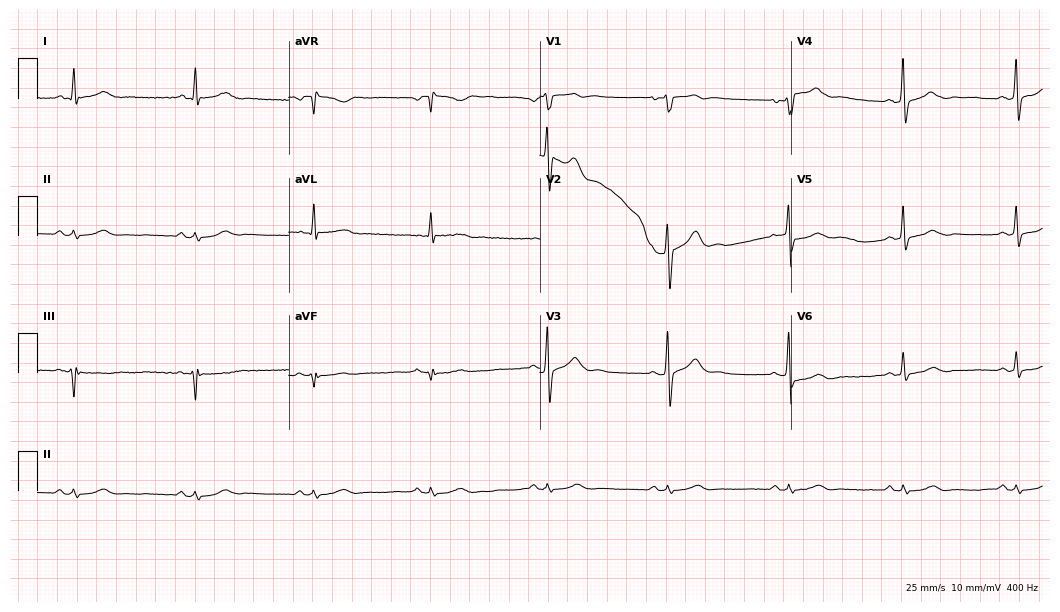
12-lead ECG from a 59-year-old man. No first-degree AV block, right bundle branch block (RBBB), left bundle branch block (LBBB), sinus bradycardia, atrial fibrillation (AF) or sinus tachycardia recorded for this tracing.